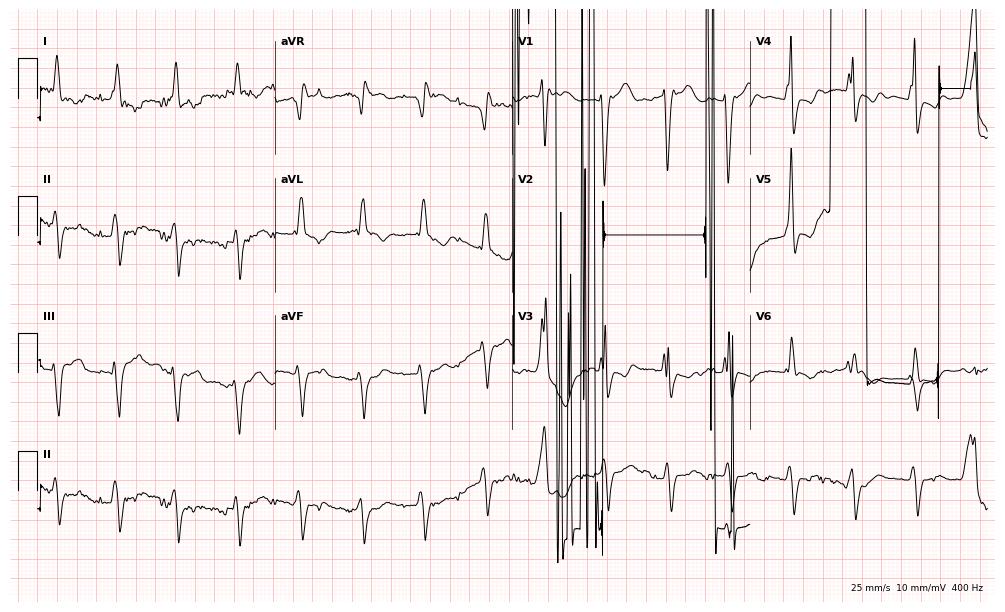
Resting 12-lead electrocardiogram (9.7-second recording at 400 Hz). Patient: a male, 83 years old. None of these six findings is recorded: first-degree AV block, right bundle branch block, left bundle branch block, sinus bradycardia, atrial fibrillation, sinus tachycardia. Findings outside these six are not listed.